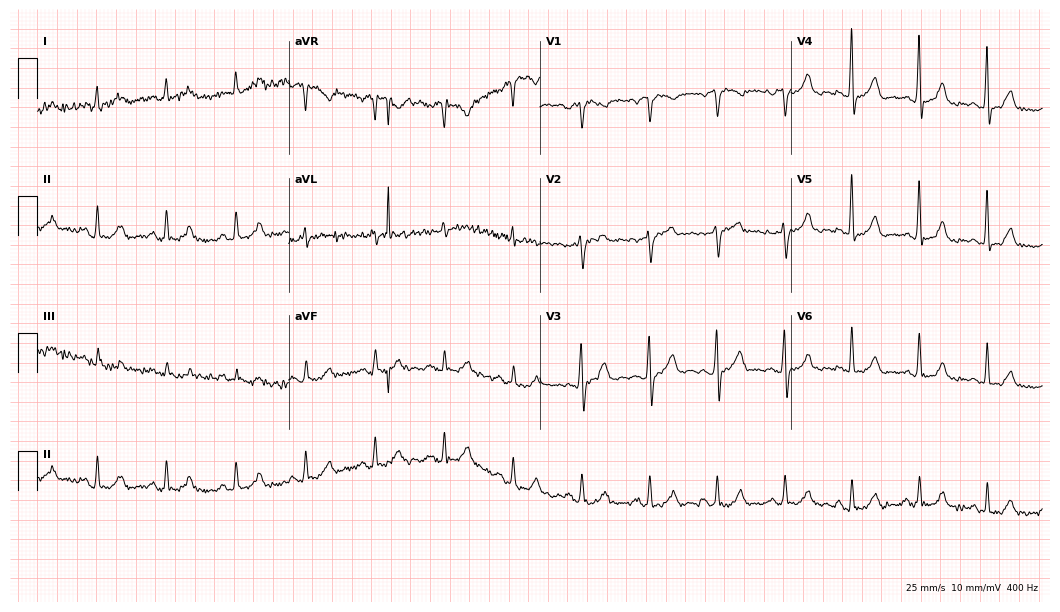
Standard 12-lead ECG recorded from a man, 56 years old (10.2-second recording at 400 Hz). None of these six findings is recorded: first-degree AV block, right bundle branch block (RBBB), left bundle branch block (LBBB), sinus bradycardia, atrial fibrillation (AF), sinus tachycardia.